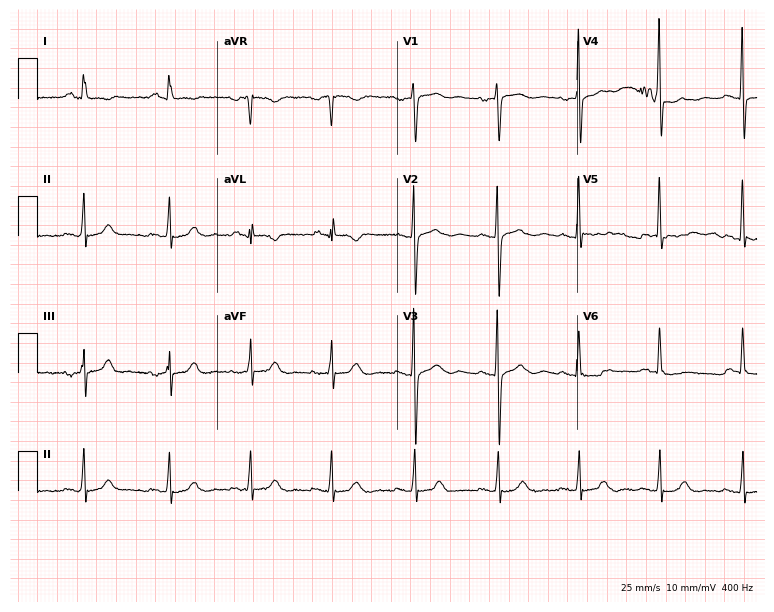
12-lead ECG from a female patient, 65 years old. No first-degree AV block, right bundle branch block, left bundle branch block, sinus bradycardia, atrial fibrillation or sinus tachycardia recorded for this tracing.